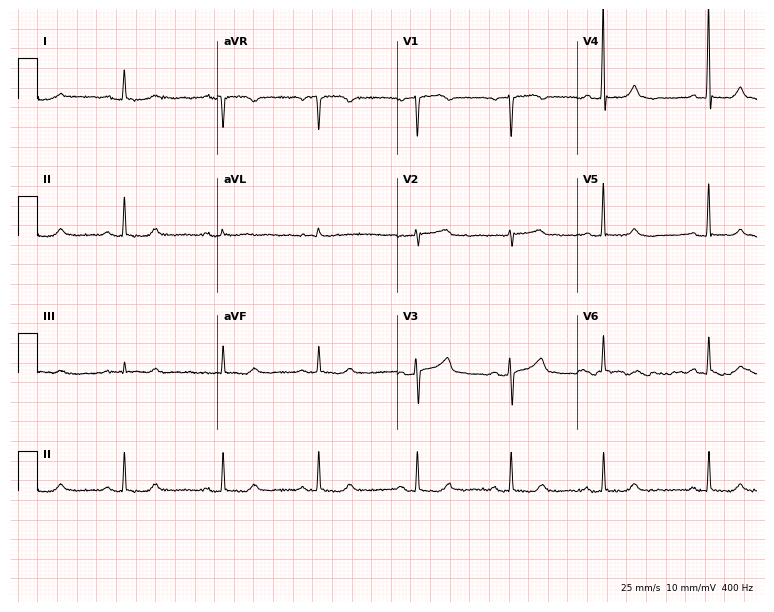
Standard 12-lead ECG recorded from a female, 62 years old. None of these six findings is recorded: first-degree AV block, right bundle branch block, left bundle branch block, sinus bradycardia, atrial fibrillation, sinus tachycardia.